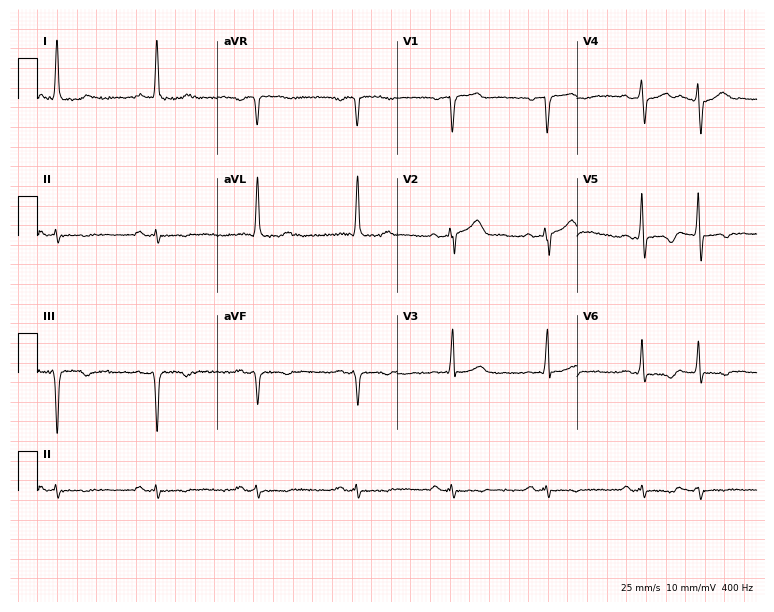
Standard 12-lead ECG recorded from a man, 77 years old (7.3-second recording at 400 Hz). None of these six findings is recorded: first-degree AV block, right bundle branch block, left bundle branch block, sinus bradycardia, atrial fibrillation, sinus tachycardia.